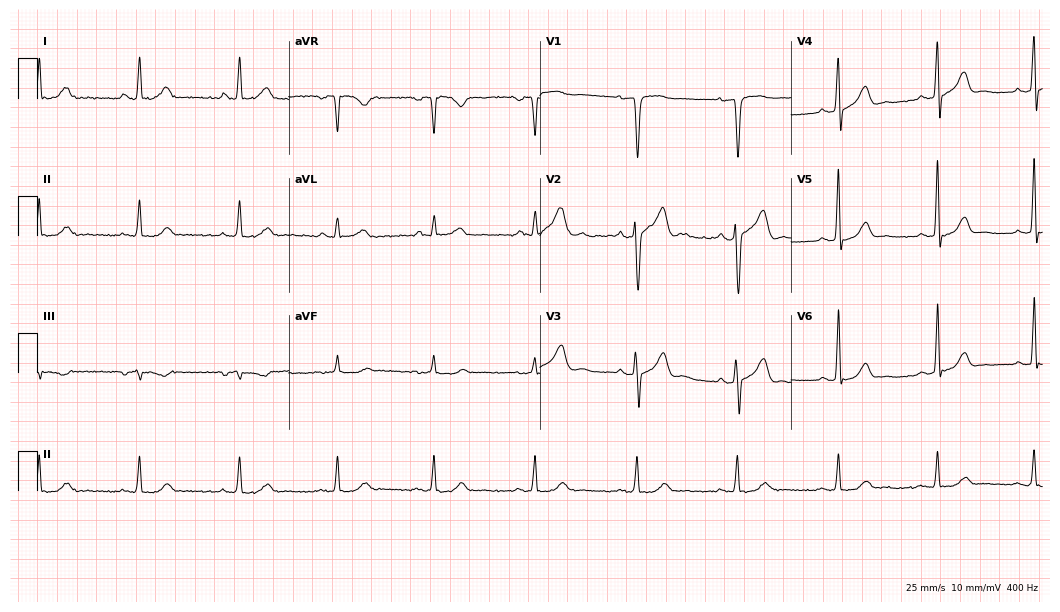
12-lead ECG from a male patient, 52 years old (10.2-second recording at 400 Hz). Recorded interpretation: within normal limits.